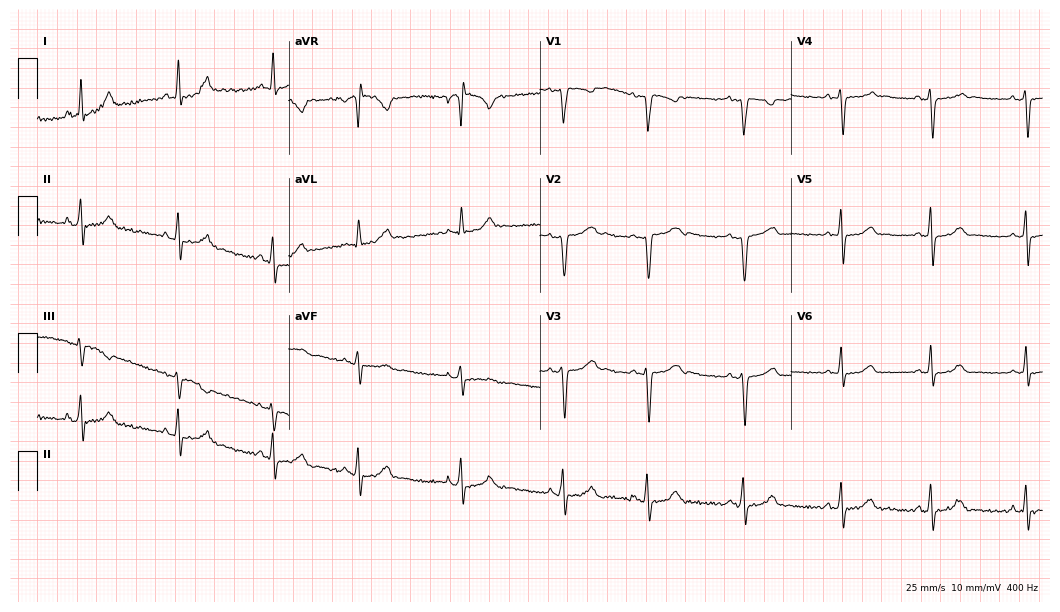
ECG — a woman, 27 years old. Labelled as a normal ECG.